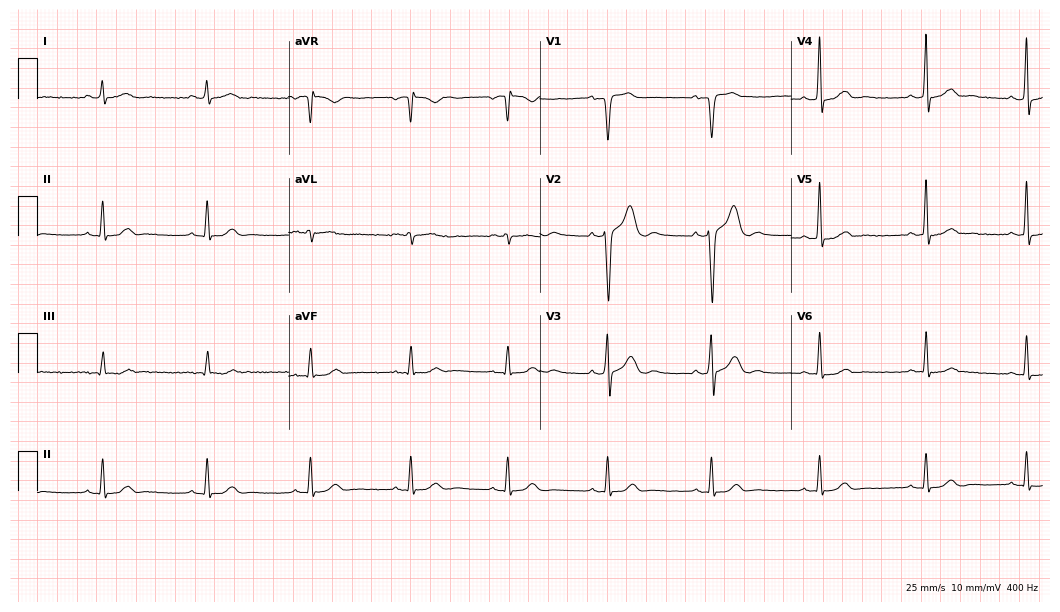
Electrocardiogram (10.2-second recording at 400 Hz), a 46-year-old male. Of the six screened findings (first-degree AV block, right bundle branch block, left bundle branch block, sinus bradycardia, atrial fibrillation, sinus tachycardia), none is recorded. Only these six findings were labelled.